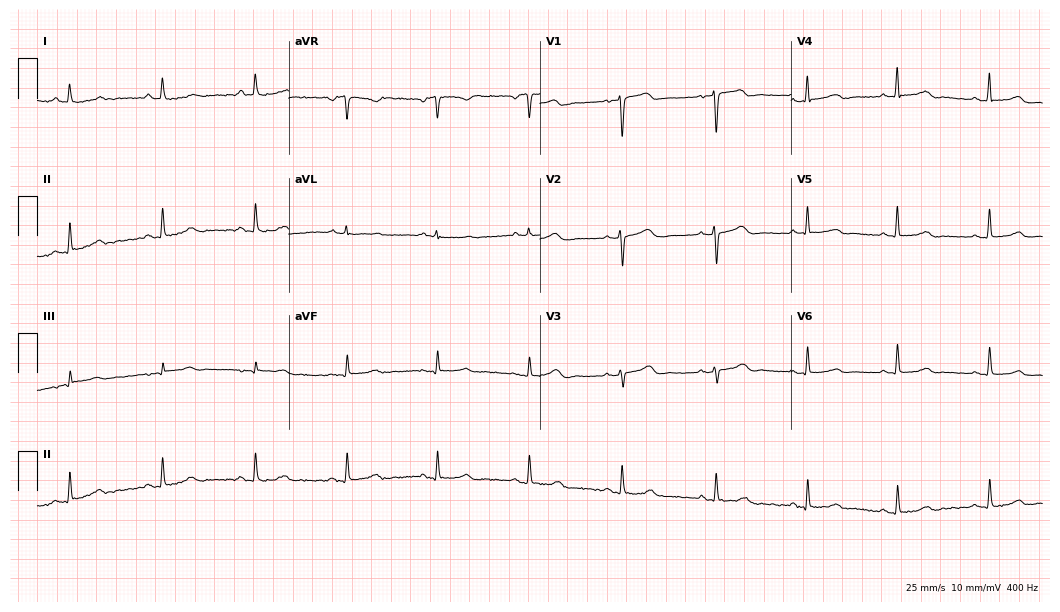
Electrocardiogram, a 35-year-old woman. Of the six screened findings (first-degree AV block, right bundle branch block, left bundle branch block, sinus bradycardia, atrial fibrillation, sinus tachycardia), none is recorded. Other findings, if any, are not listed.